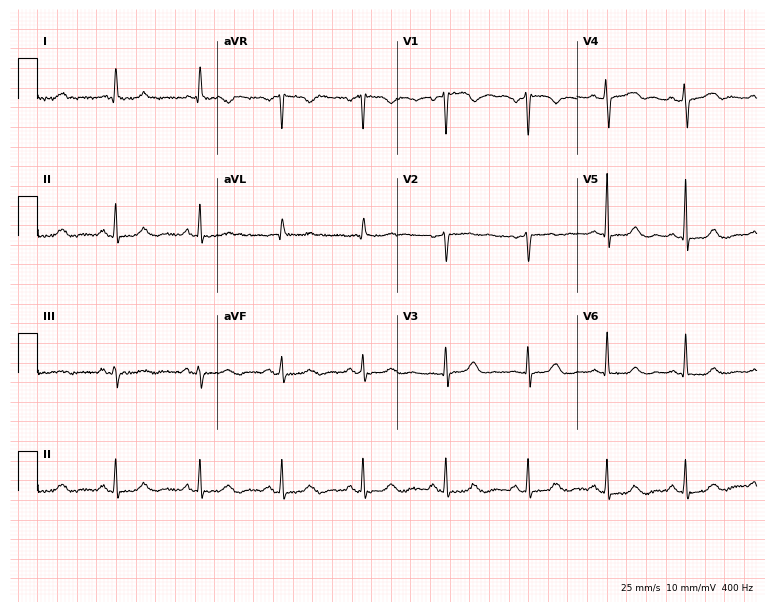
Standard 12-lead ECG recorded from a 50-year-old female patient. None of these six findings is recorded: first-degree AV block, right bundle branch block (RBBB), left bundle branch block (LBBB), sinus bradycardia, atrial fibrillation (AF), sinus tachycardia.